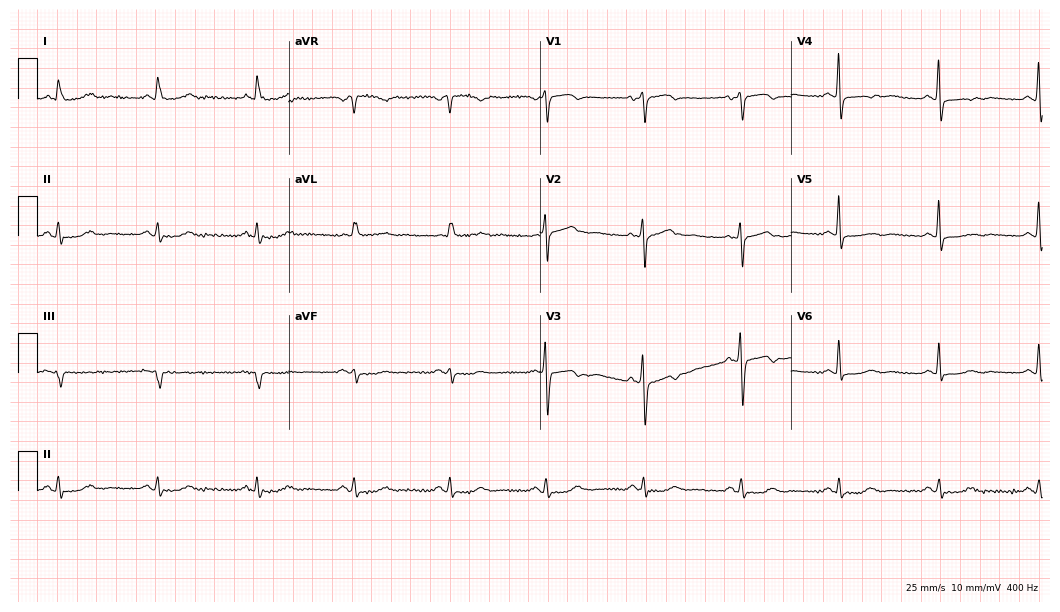
Standard 12-lead ECG recorded from a 71-year-old female. None of these six findings is recorded: first-degree AV block, right bundle branch block, left bundle branch block, sinus bradycardia, atrial fibrillation, sinus tachycardia.